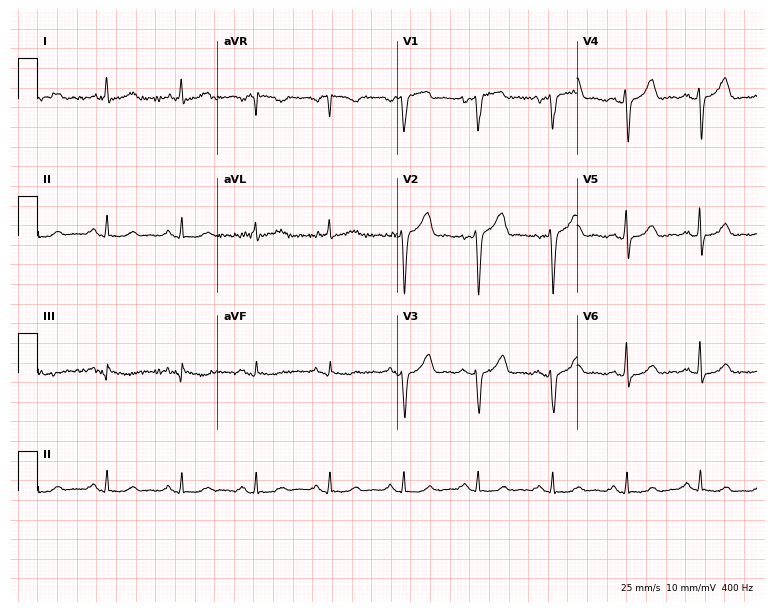
Standard 12-lead ECG recorded from a 73-year-old male patient (7.3-second recording at 400 Hz). None of these six findings is recorded: first-degree AV block, right bundle branch block, left bundle branch block, sinus bradycardia, atrial fibrillation, sinus tachycardia.